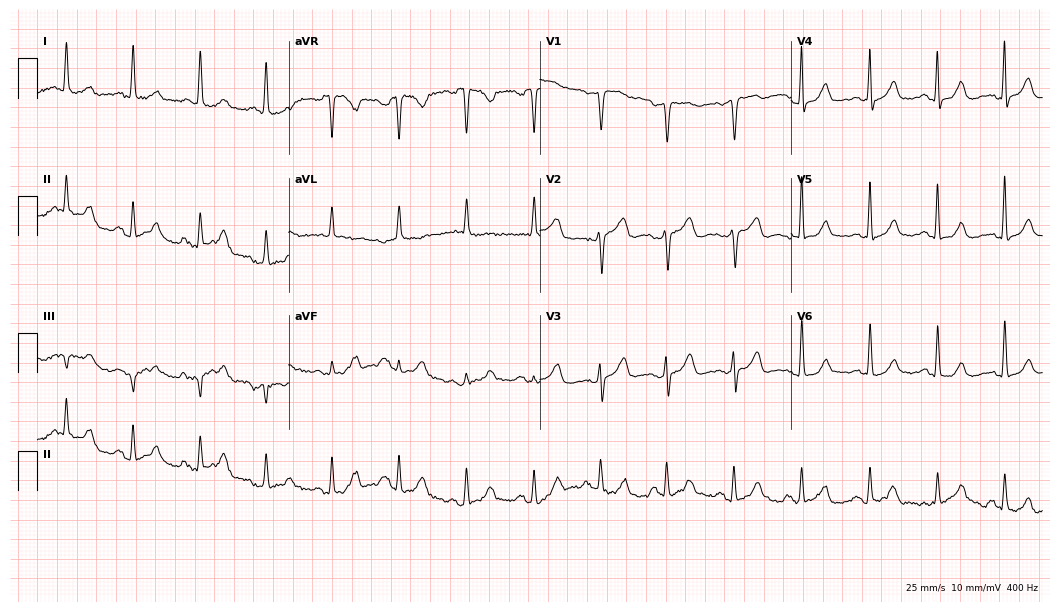
Standard 12-lead ECG recorded from an 81-year-old female patient (10.2-second recording at 400 Hz). Read as a normal ECG.